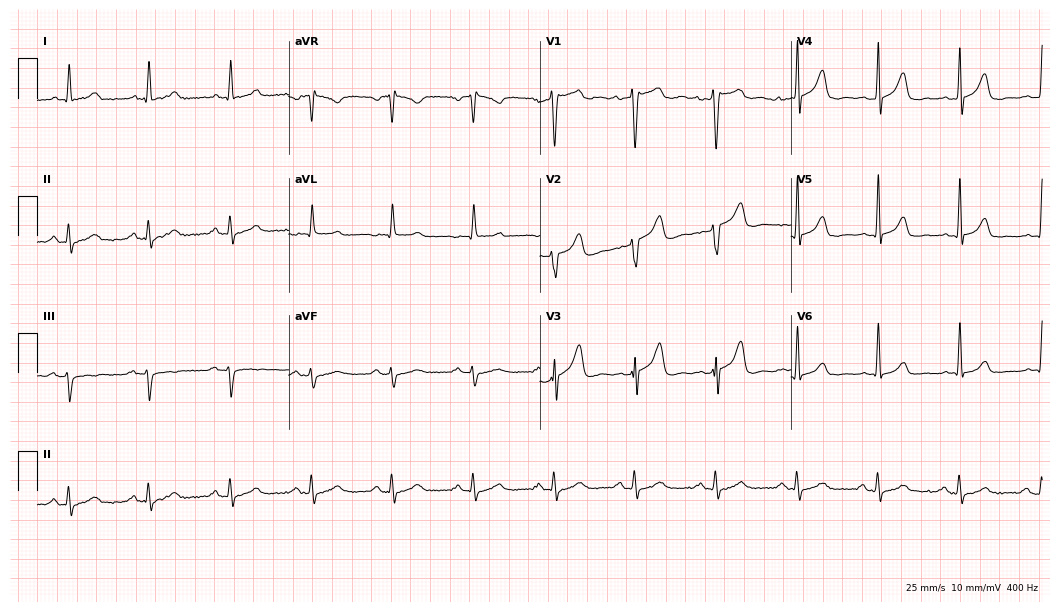
Resting 12-lead electrocardiogram. Patient: a 50-year-old man. None of these six findings is recorded: first-degree AV block, right bundle branch block, left bundle branch block, sinus bradycardia, atrial fibrillation, sinus tachycardia. Findings outside these six are not listed.